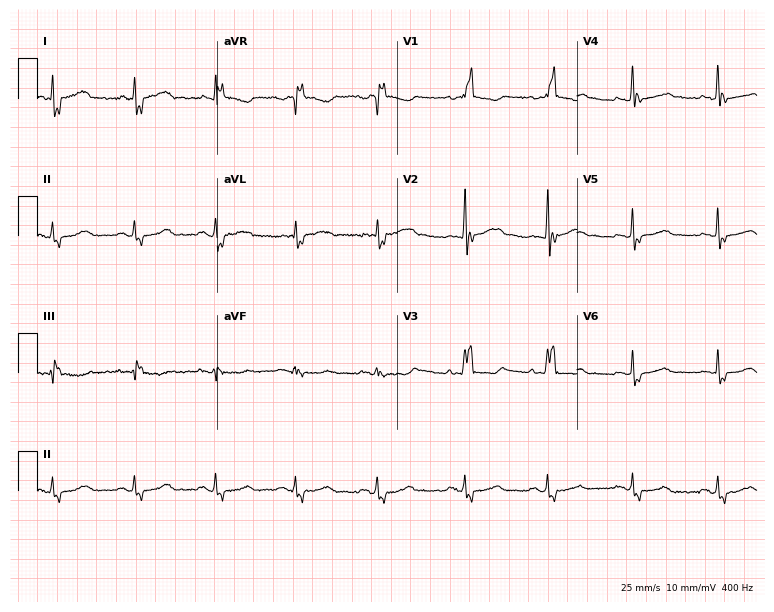
12-lead ECG from a 62-year-old woman. Screened for six findings — first-degree AV block, right bundle branch block, left bundle branch block, sinus bradycardia, atrial fibrillation, sinus tachycardia — none is recorded.